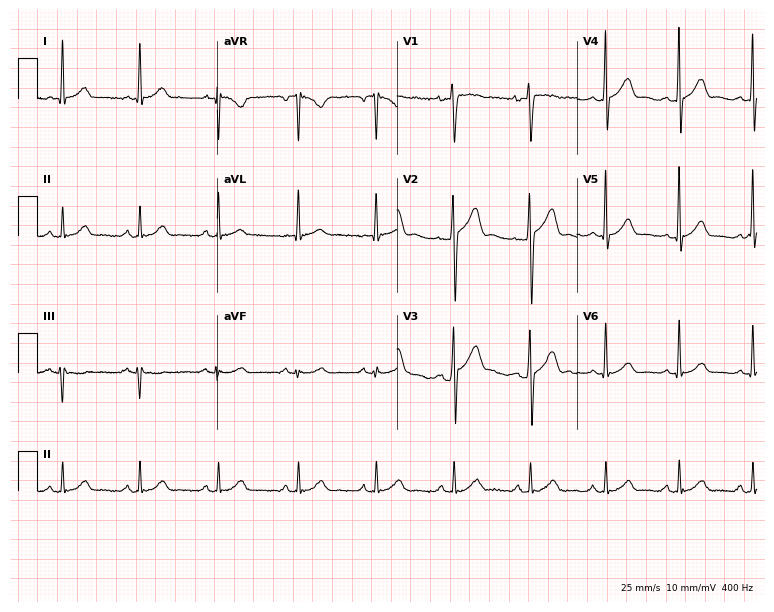
ECG (7.3-second recording at 400 Hz) — a man, 35 years old. Labelled as a normal ECG.